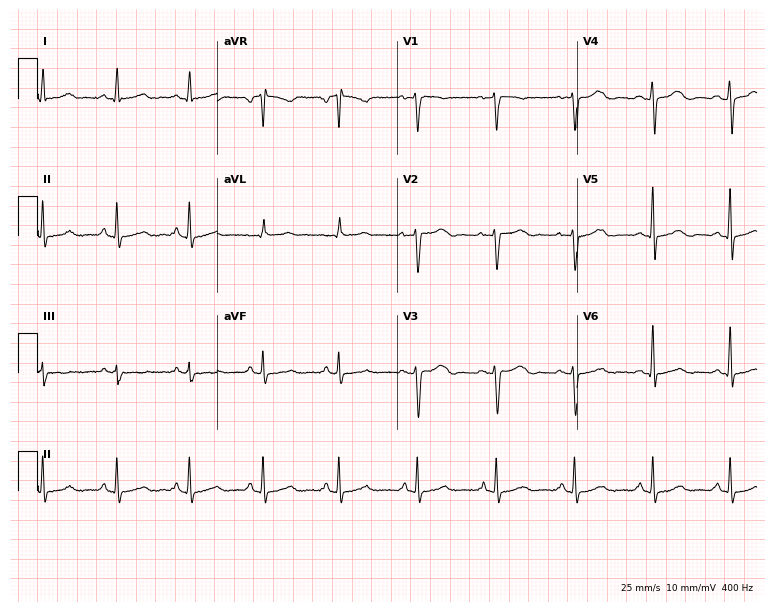
Standard 12-lead ECG recorded from a 41-year-old woman (7.3-second recording at 400 Hz). None of these six findings is recorded: first-degree AV block, right bundle branch block (RBBB), left bundle branch block (LBBB), sinus bradycardia, atrial fibrillation (AF), sinus tachycardia. Findings outside these six are not listed.